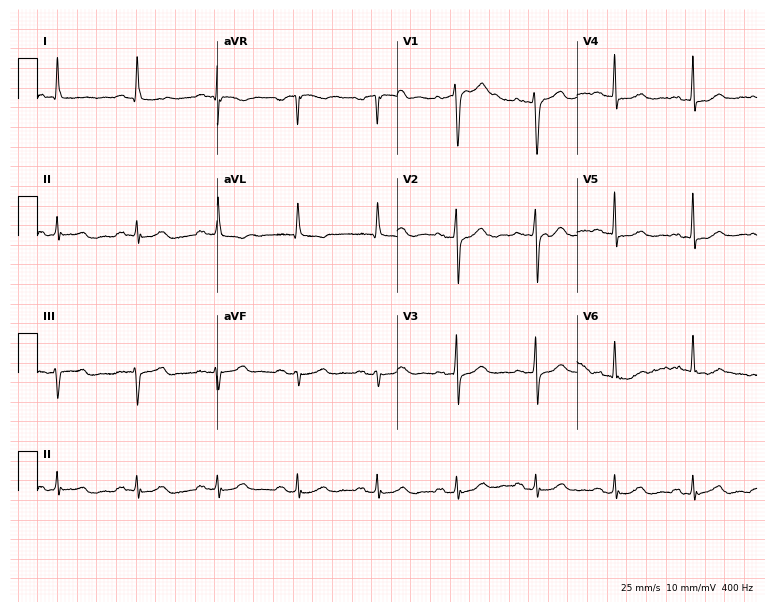
Resting 12-lead electrocardiogram (7.3-second recording at 400 Hz). Patient: a female, 82 years old. None of these six findings is recorded: first-degree AV block, right bundle branch block (RBBB), left bundle branch block (LBBB), sinus bradycardia, atrial fibrillation (AF), sinus tachycardia. Findings outside these six are not listed.